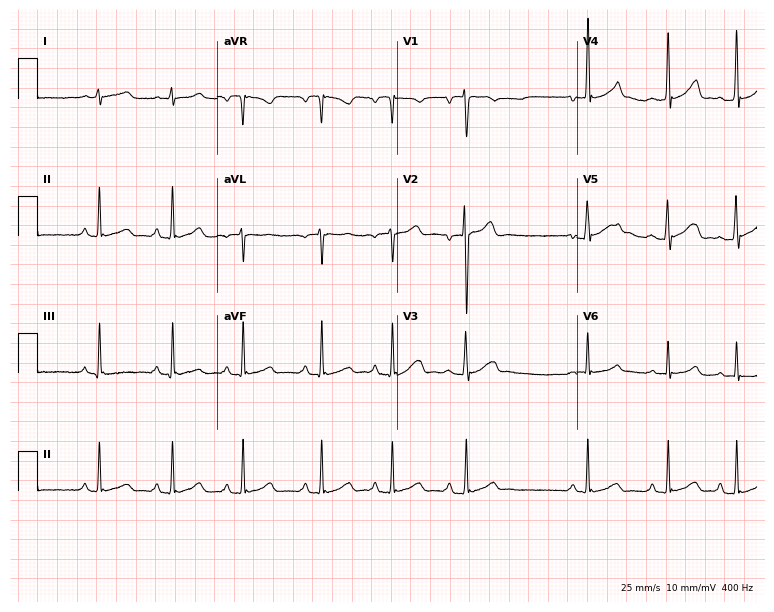
Standard 12-lead ECG recorded from a man, 26 years old (7.3-second recording at 400 Hz). None of these six findings is recorded: first-degree AV block, right bundle branch block, left bundle branch block, sinus bradycardia, atrial fibrillation, sinus tachycardia. Findings outside these six are not listed.